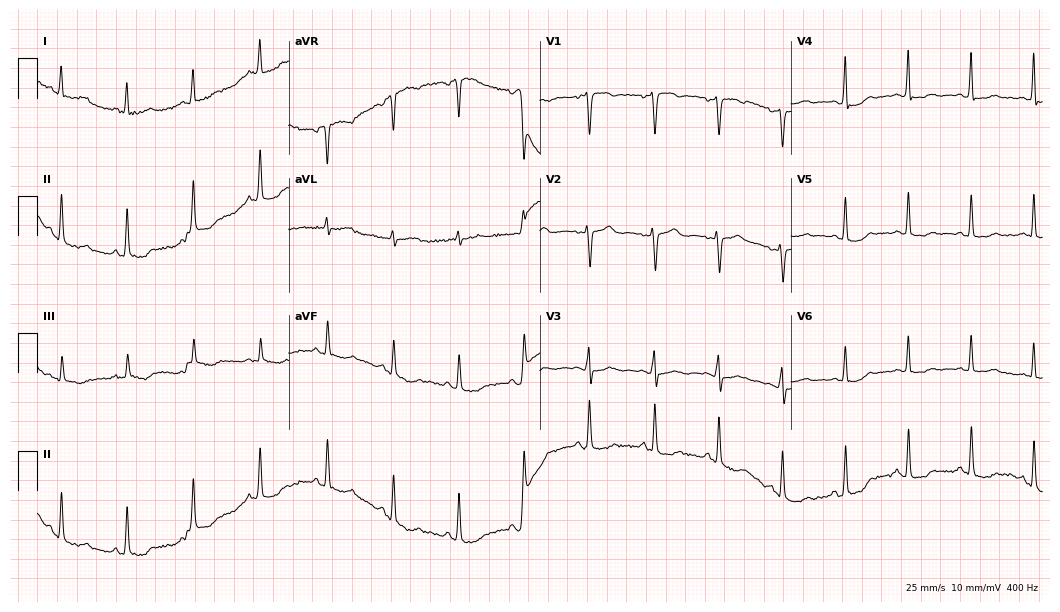
Resting 12-lead electrocardiogram. Patient: a 52-year-old female. Read as a normal ECG.